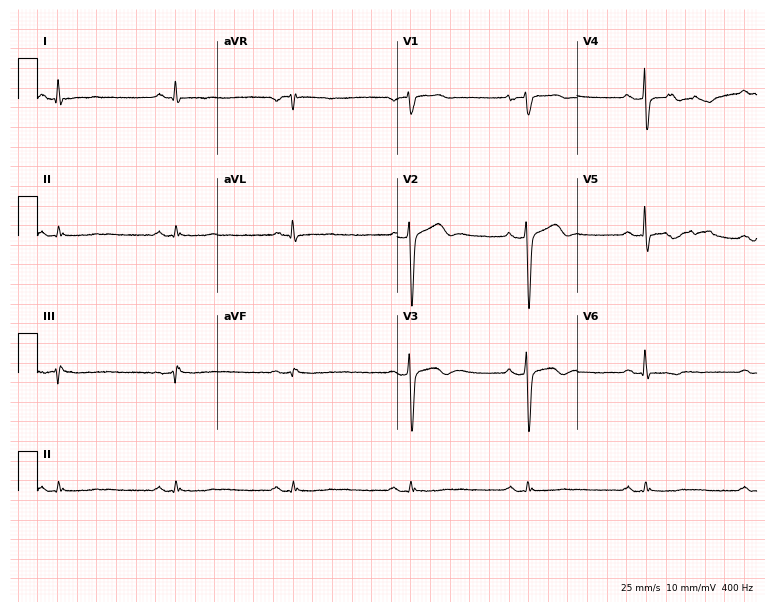
Resting 12-lead electrocardiogram (7.3-second recording at 400 Hz). Patient: a 50-year-old man. The tracing shows sinus bradycardia (a sinus rate of 50 beats per minute or less).